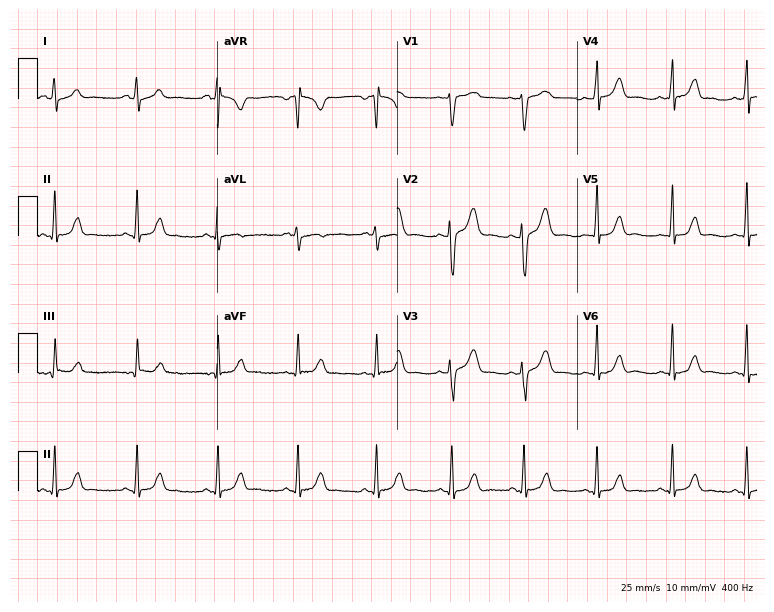
ECG — a 20-year-old female patient. Labelled as a normal ECG.